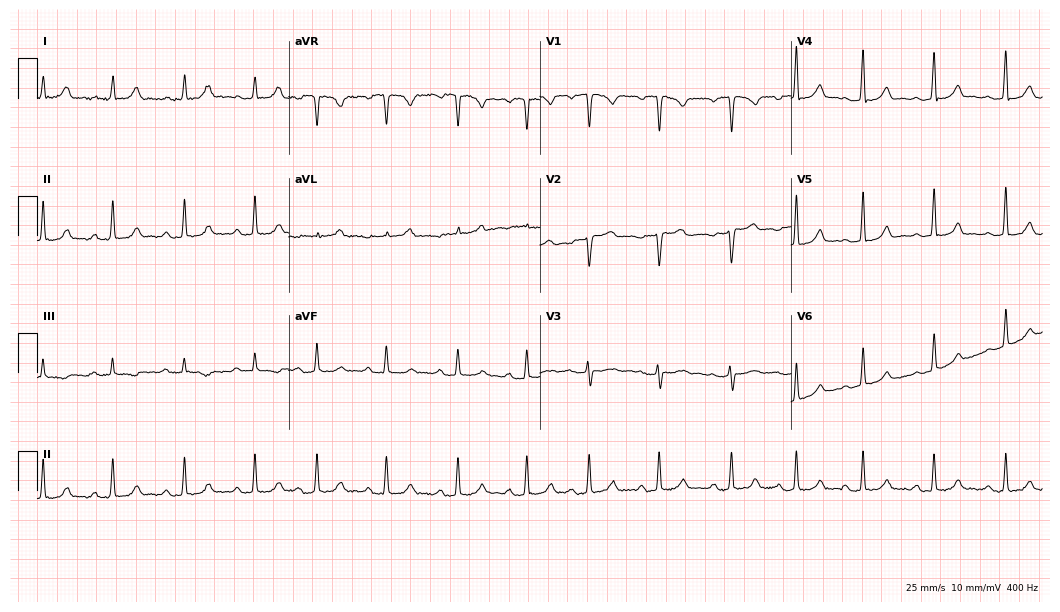
Electrocardiogram (10.2-second recording at 400 Hz), a woman, 26 years old. Overall reading on record: normal ECG.